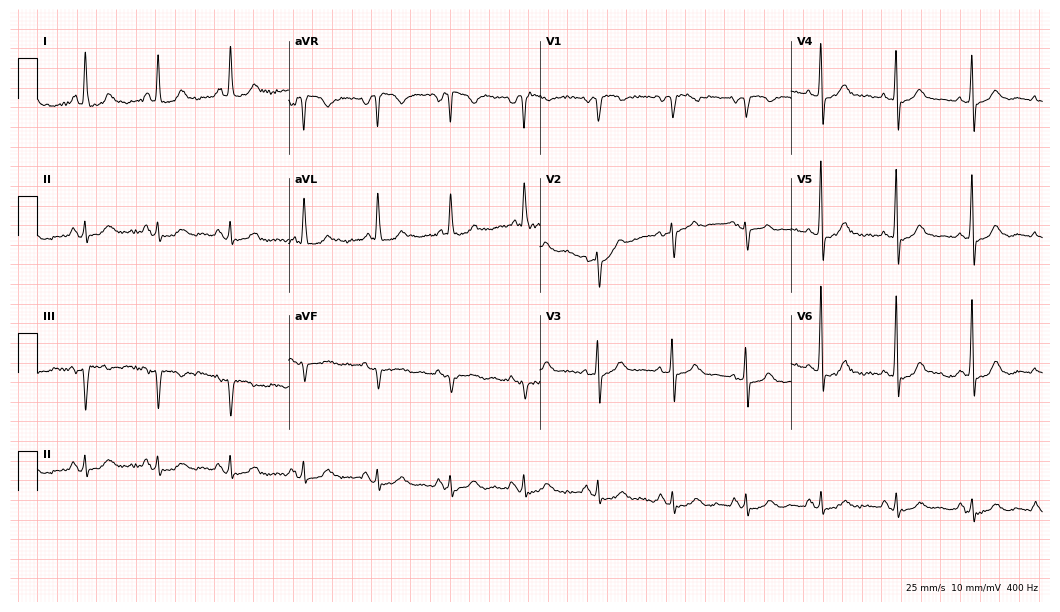
Standard 12-lead ECG recorded from a 77-year-old female patient. None of these six findings is recorded: first-degree AV block, right bundle branch block, left bundle branch block, sinus bradycardia, atrial fibrillation, sinus tachycardia.